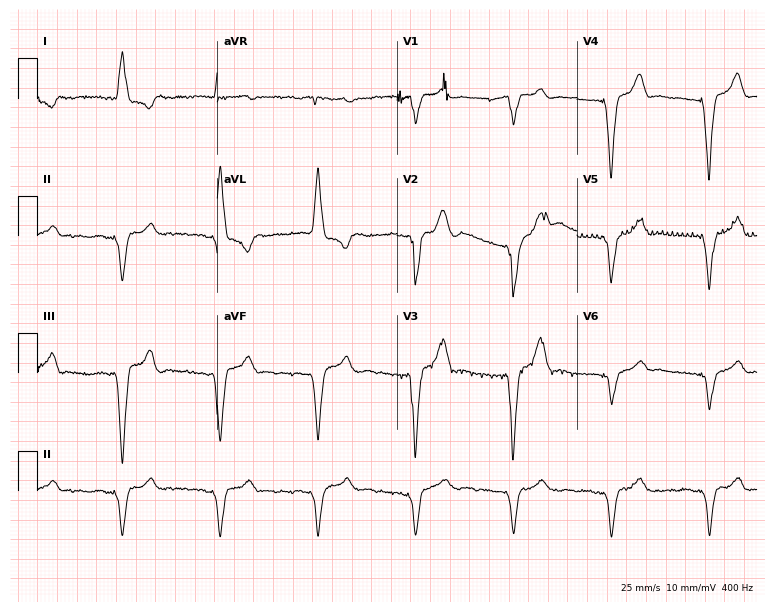
12-lead ECG from a 77-year-old female patient. Screened for six findings — first-degree AV block, right bundle branch block (RBBB), left bundle branch block (LBBB), sinus bradycardia, atrial fibrillation (AF), sinus tachycardia — none is recorded. Only these six findings were labelled.